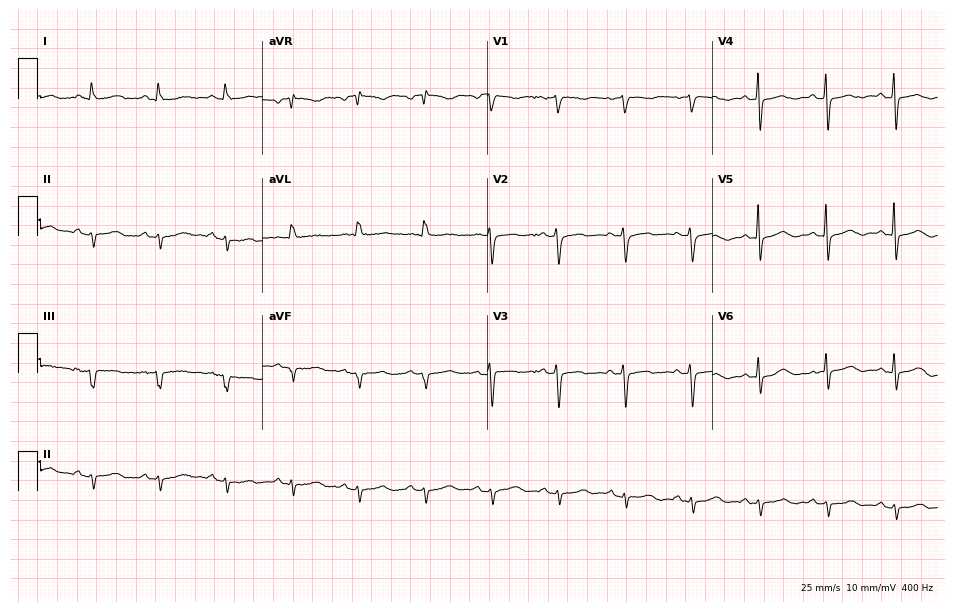
Resting 12-lead electrocardiogram (9.2-second recording at 400 Hz). Patient: a 23-year-old female. None of these six findings is recorded: first-degree AV block, right bundle branch block, left bundle branch block, sinus bradycardia, atrial fibrillation, sinus tachycardia.